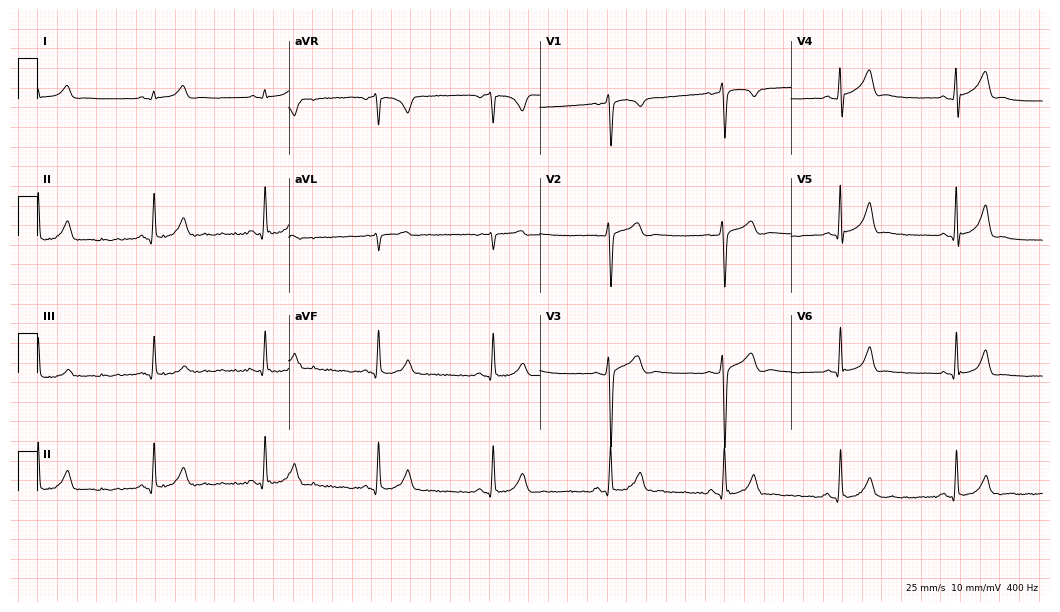
Resting 12-lead electrocardiogram (10.2-second recording at 400 Hz). Patient: a 28-year-old man. Read as a normal ECG.